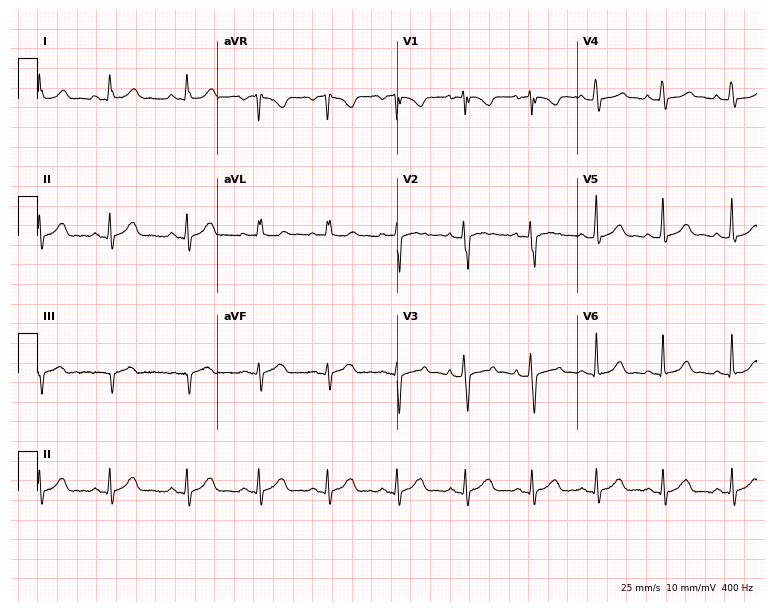
12-lead ECG from a 28-year-old female patient. Labelled as a normal ECG.